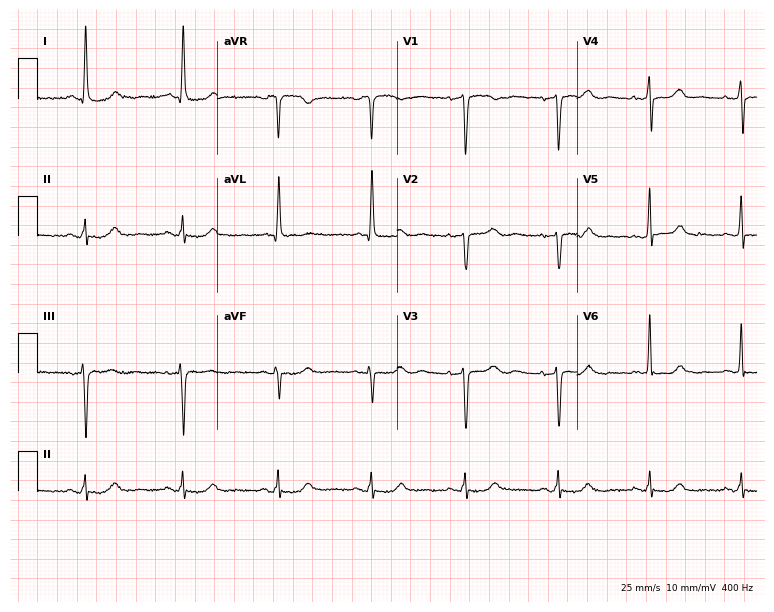
Standard 12-lead ECG recorded from an 83-year-old female (7.3-second recording at 400 Hz). None of these six findings is recorded: first-degree AV block, right bundle branch block, left bundle branch block, sinus bradycardia, atrial fibrillation, sinus tachycardia.